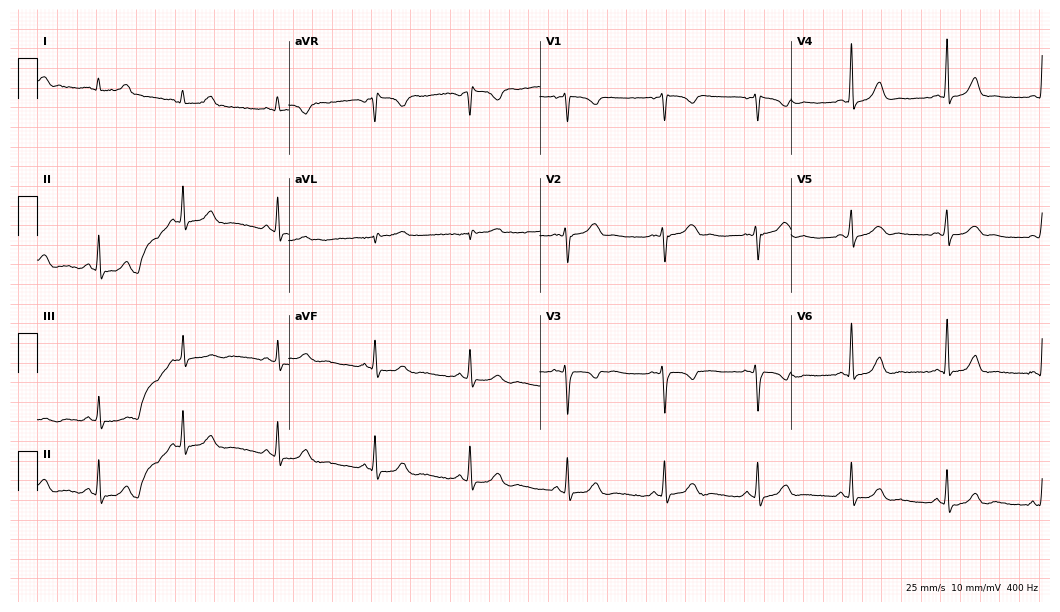
Electrocardiogram (10.2-second recording at 400 Hz), a 33-year-old female. Overall reading on record: normal ECG.